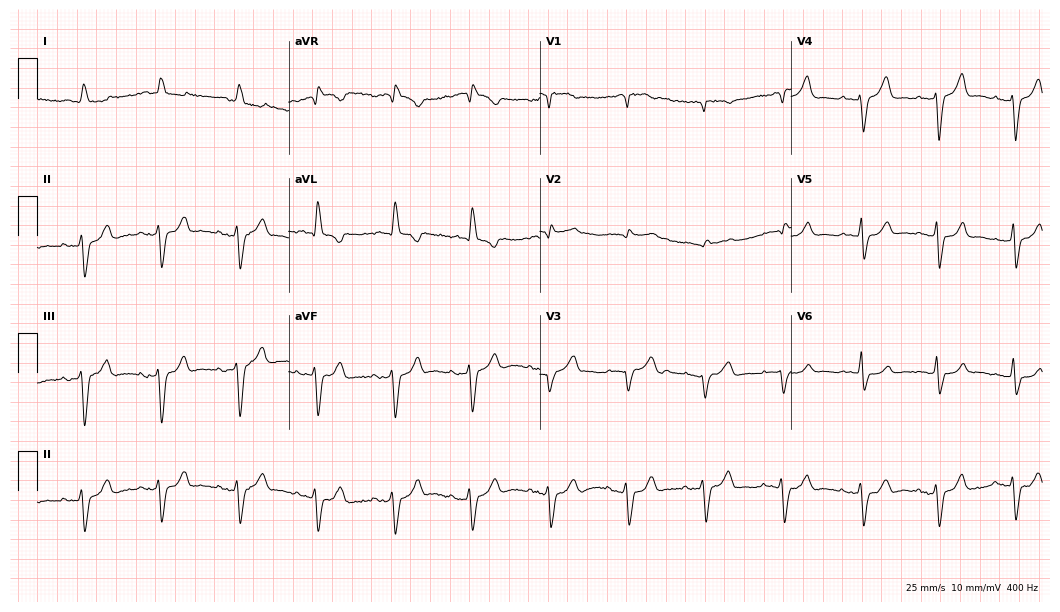
ECG (10.2-second recording at 400 Hz) — a man, 88 years old. Screened for six findings — first-degree AV block, right bundle branch block, left bundle branch block, sinus bradycardia, atrial fibrillation, sinus tachycardia — none is recorded. Findings outside these six are not listed.